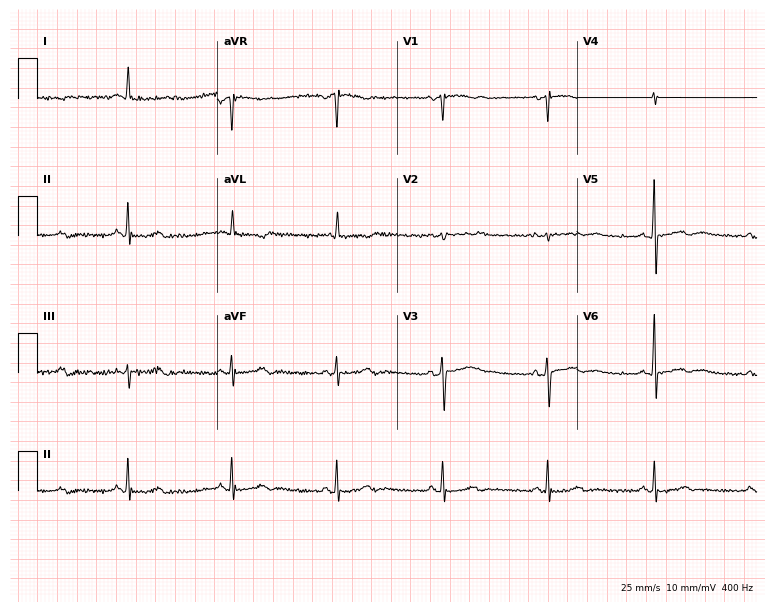
Electrocardiogram, a female patient, 57 years old. Of the six screened findings (first-degree AV block, right bundle branch block, left bundle branch block, sinus bradycardia, atrial fibrillation, sinus tachycardia), none is recorded. Other findings, if any, are not listed.